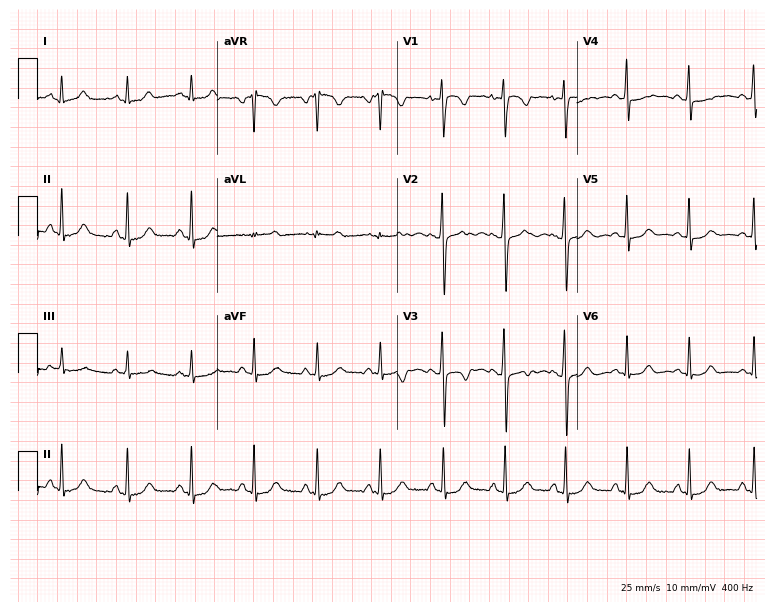
Electrocardiogram, a 21-year-old woman. Of the six screened findings (first-degree AV block, right bundle branch block, left bundle branch block, sinus bradycardia, atrial fibrillation, sinus tachycardia), none is recorded. Findings outside these six are not listed.